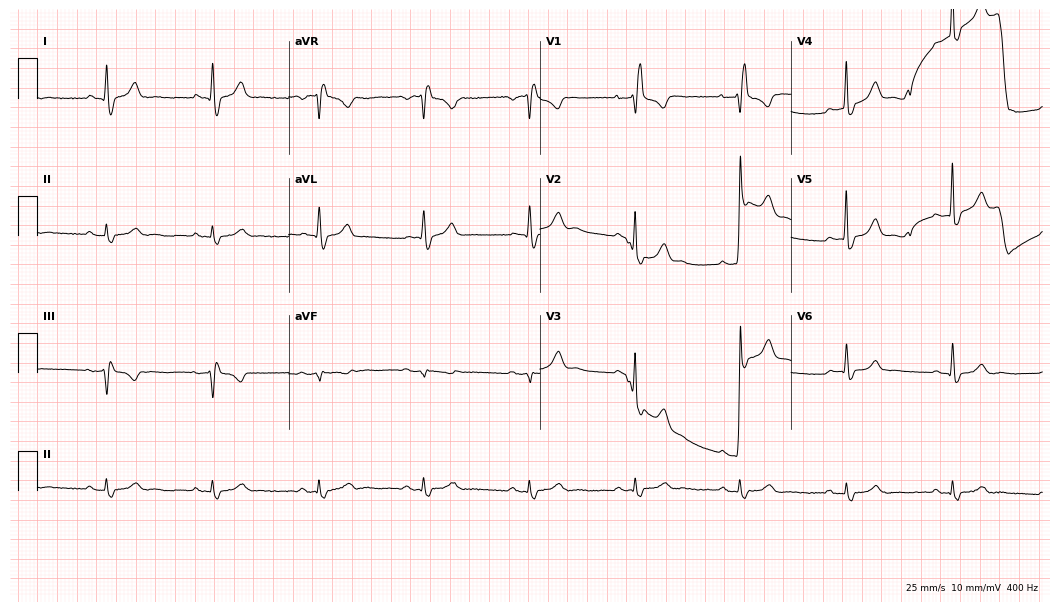
Resting 12-lead electrocardiogram. Patient: a 68-year-old male. The tracing shows right bundle branch block (RBBB).